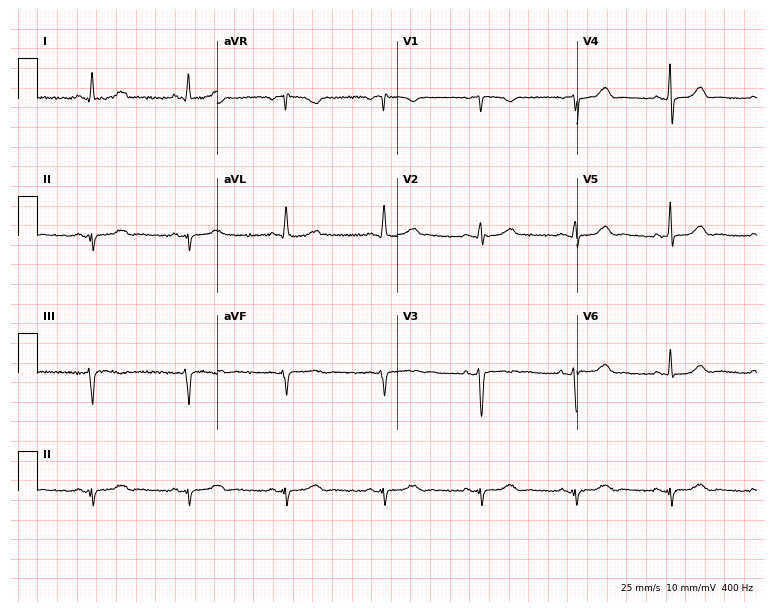
Electrocardiogram, a 58-year-old female. Of the six screened findings (first-degree AV block, right bundle branch block, left bundle branch block, sinus bradycardia, atrial fibrillation, sinus tachycardia), none is recorded. Other findings, if any, are not listed.